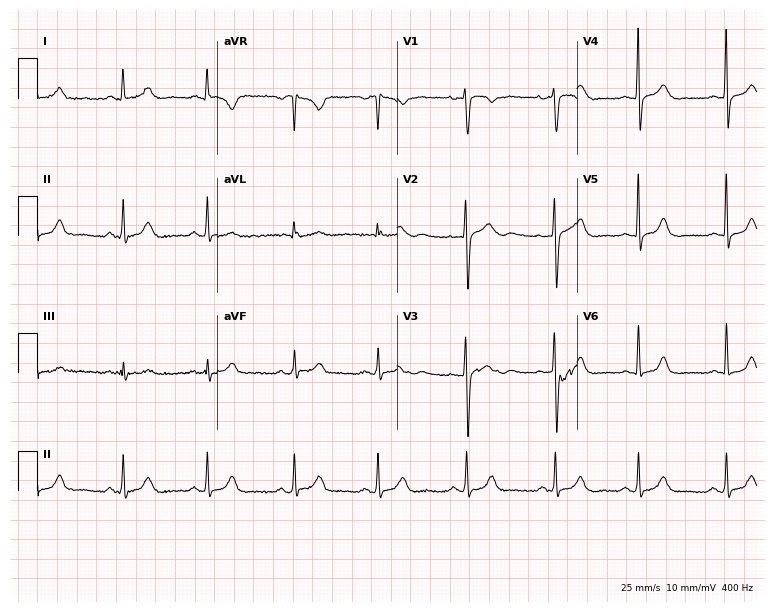
Resting 12-lead electrocardiogram (7.3-second recording at 400 Hz). Patient: a female, 28 years old. None of these six findings is recorded: first-degree AV block, right bundle branch block, left bundle branch block, sinus bradycardia, atrial fibrillation, sinus tachycardia. Other findings, if any, are not listed.